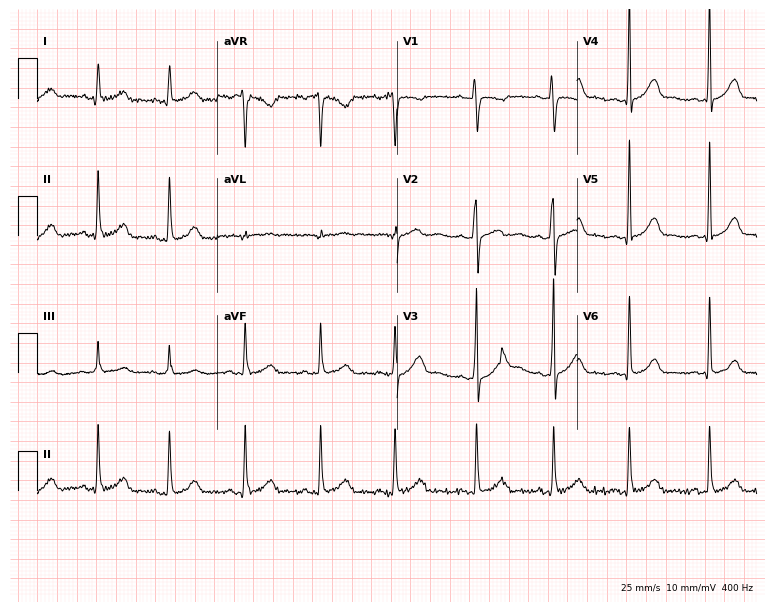
12-lead ECG from a 24-year-old female patient. Recorded interpretation: within normal limits.